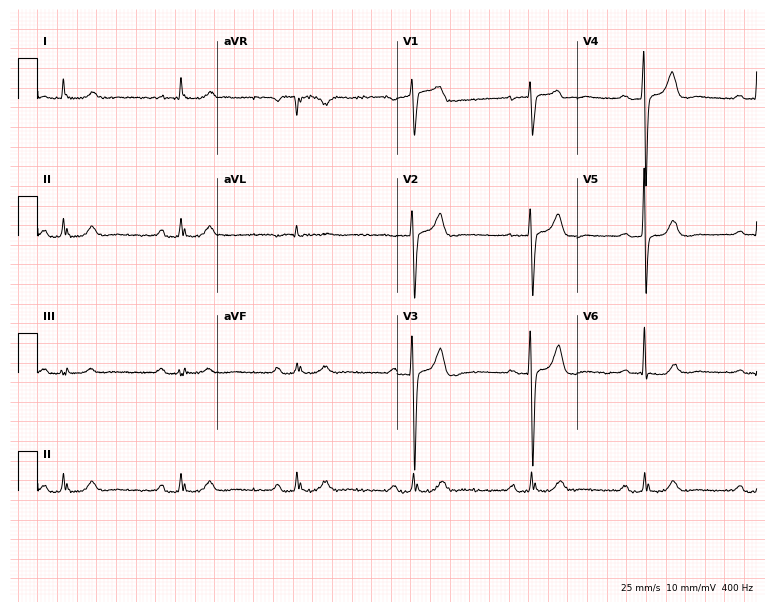
ECG (7.3-second recording at 400 Hz) — a male patient, 73 years old. Labelled as a normal ECG.